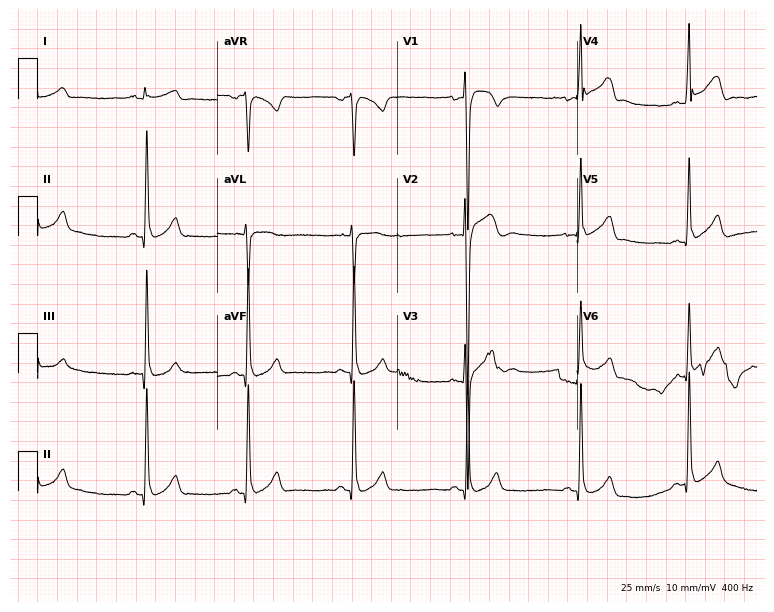
12-lead ECG from a male patient, 20 years old. Recorded interpretation: within normal limits.